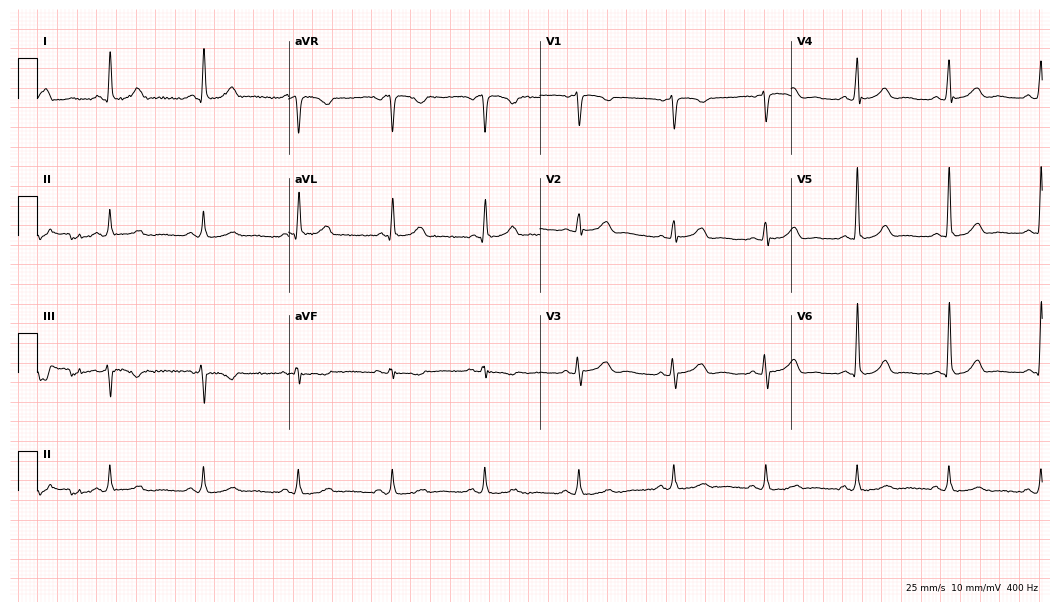
12-lead ECG from a 48-year-old woman. Recorded interpretation: within normal limits.